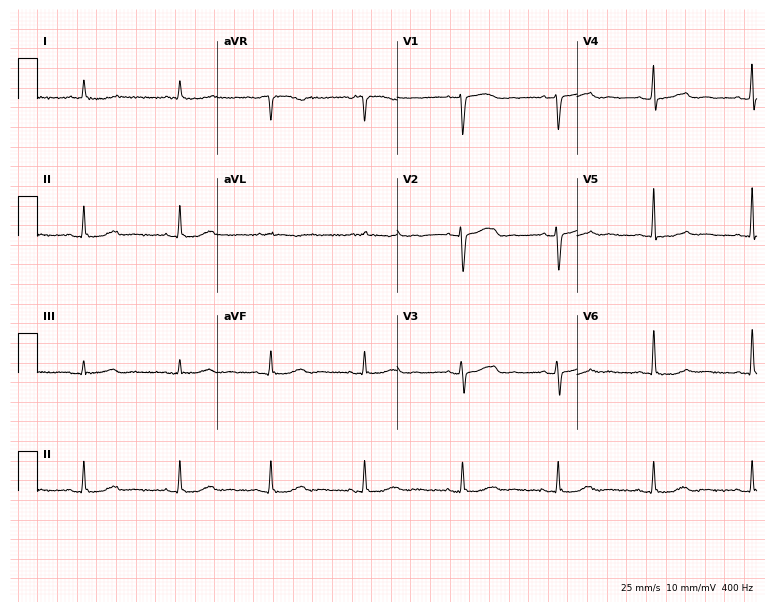
12-lead ECG from a female patient, 66 years old (7.3-second recording at 400 Hz). No first-degree AV block, right bundle branch block (RBBB), left bundle branch block (LBBB), sinus bradycardia, atrial fibrillation (AF) or sinus tachycardia recorded for this tracing. Only these six findings were labelled.